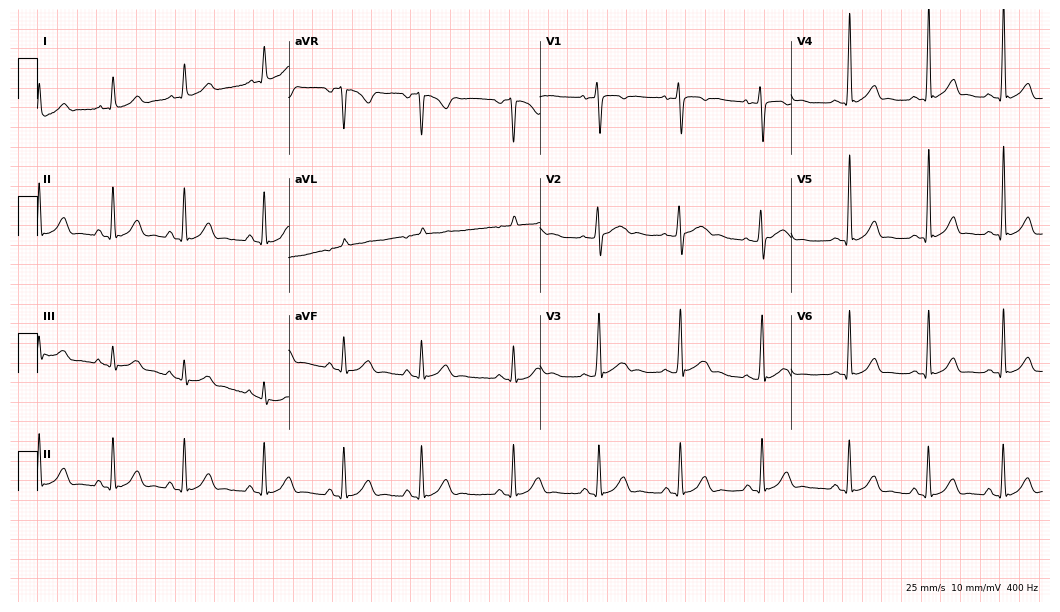
Resting 12-lead electrocardiogram. Patient: an 18-year-old male. Read as a normal ECG.